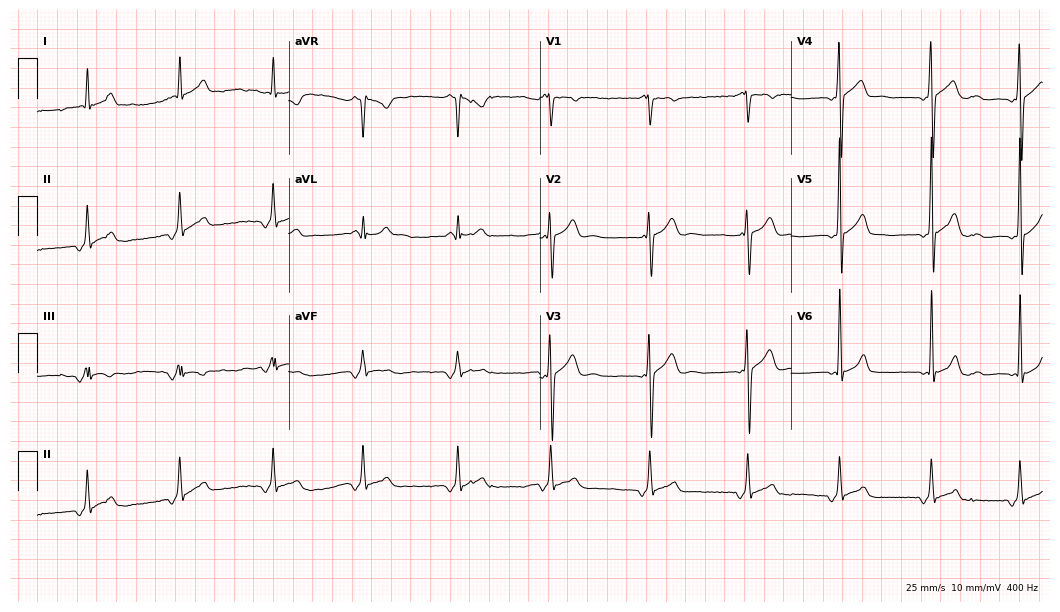
12-lead ECG (10.2-second recording at 400 Hz) from a male patient, 17 years old. Screened for six findings — first-degree AV block, right bundle branch block, left bundle branch block, sinus bradycardia, atrial fibrillation, sinus tachycardia — none is recorded. Other findings, if any, are not listed.